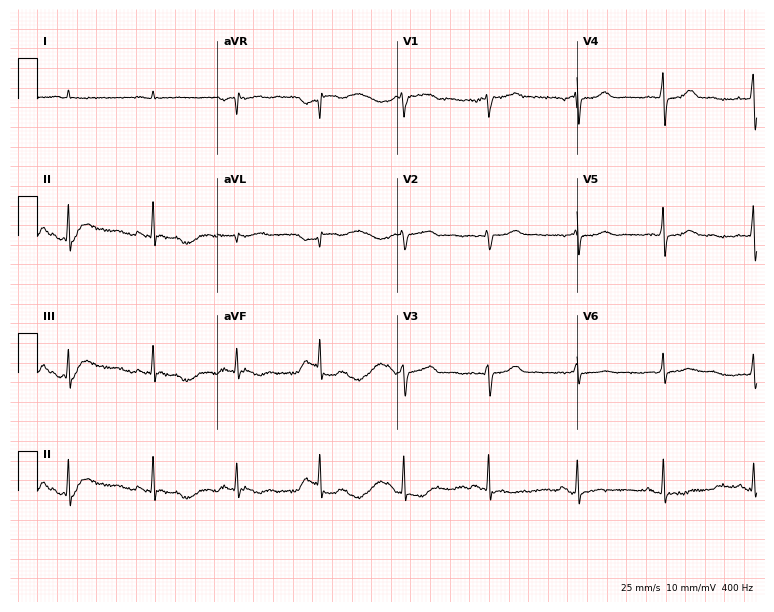
Resting 12-lead electrocardiogram (7.3-second recording at 400 Hz). Patient: a male, 83 years old. None of these six findings is recorded: first-degree AV block, right bundle branch block, left bundle branch block, sinus bradycardia, atrial fibrillation, sinus tachycardia. Findings outside these six are not listed.